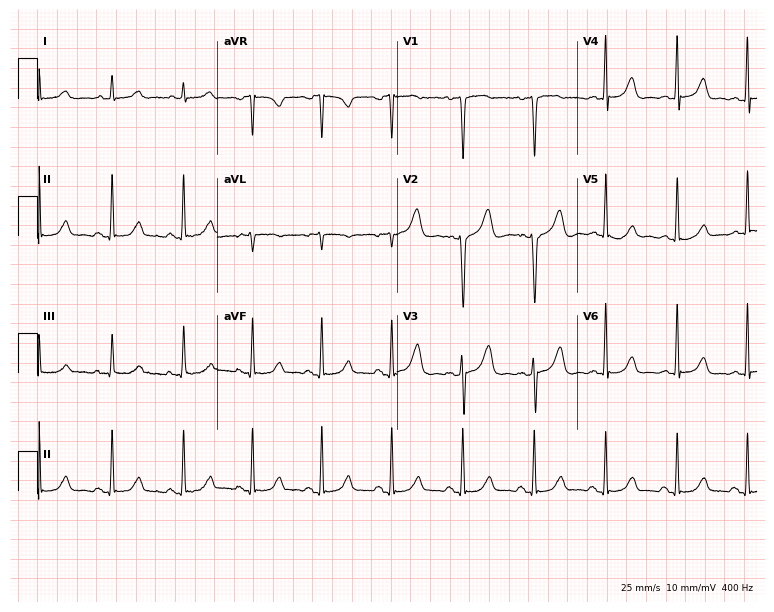
Standard 12-lead ECG recorded from a 52-year-old female. Read as a normal ECG.